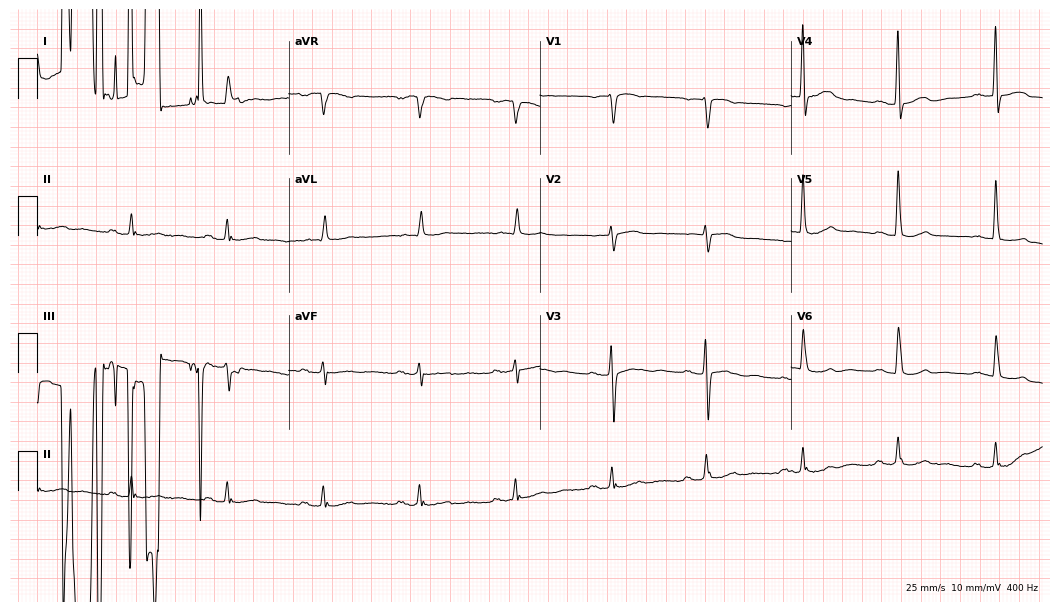
Standard 12-lead ECG recorded from an 80-year-old female patient. None of these six findings is recorded: first-degree AV block, right bundle branch block (RBBB), left bundle branch block (LBBB), sinus bradycardia, atrial fibrillation (AF), sinus tachycardia.